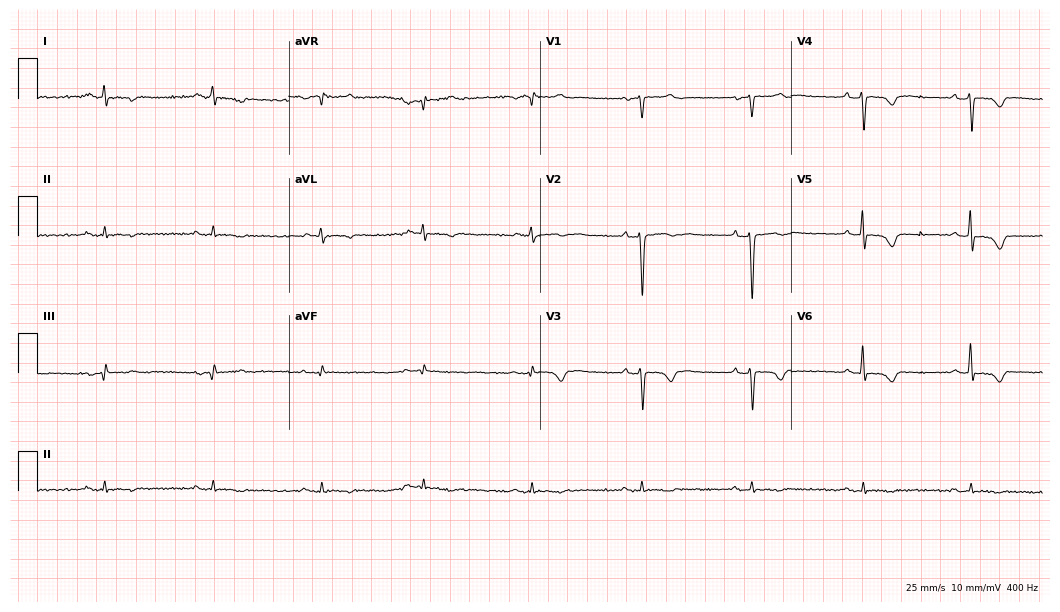
Electrocardiogram, a man, 55 years old. Of the six screened findings (first-degree AV block, right bundle branch block, left bundle branch block, sinus bradycardia, atrial fibrillation, sinus tachycardia), none is recorded.